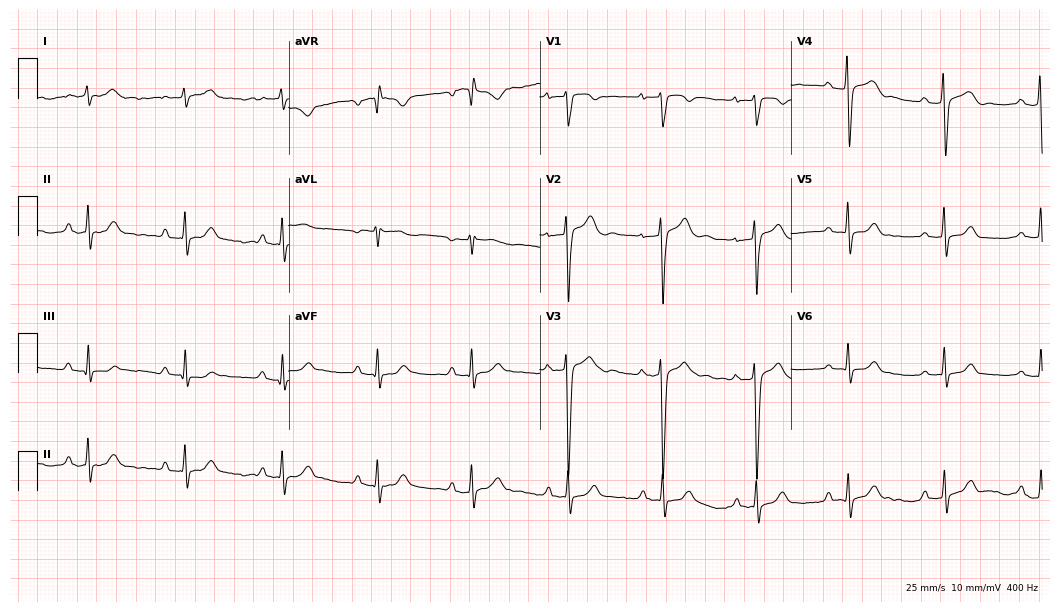
12-lead ECG from a man, 33 years old. Findings include first-degree AV block.